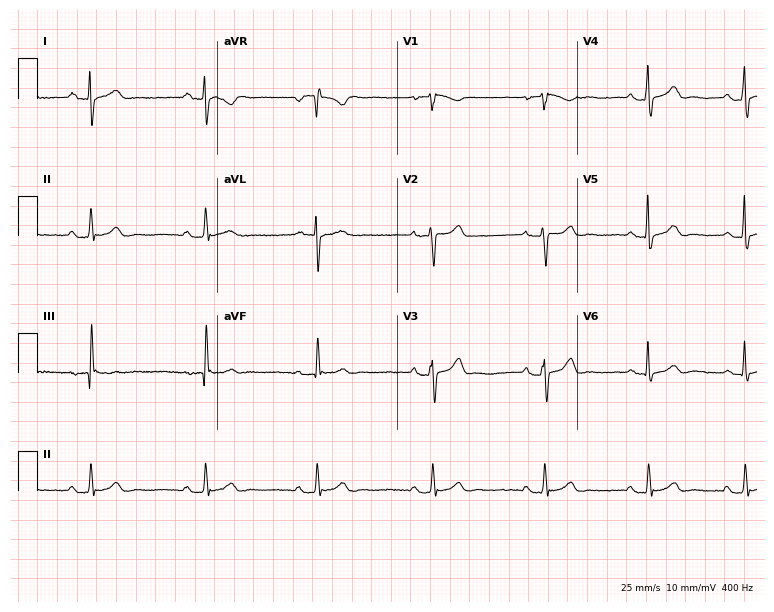
Resting 12-lead electrocardiogram (7.3-second recording at 400 Hz). Patient: a male, 42 years old. Read as a normal ECG.